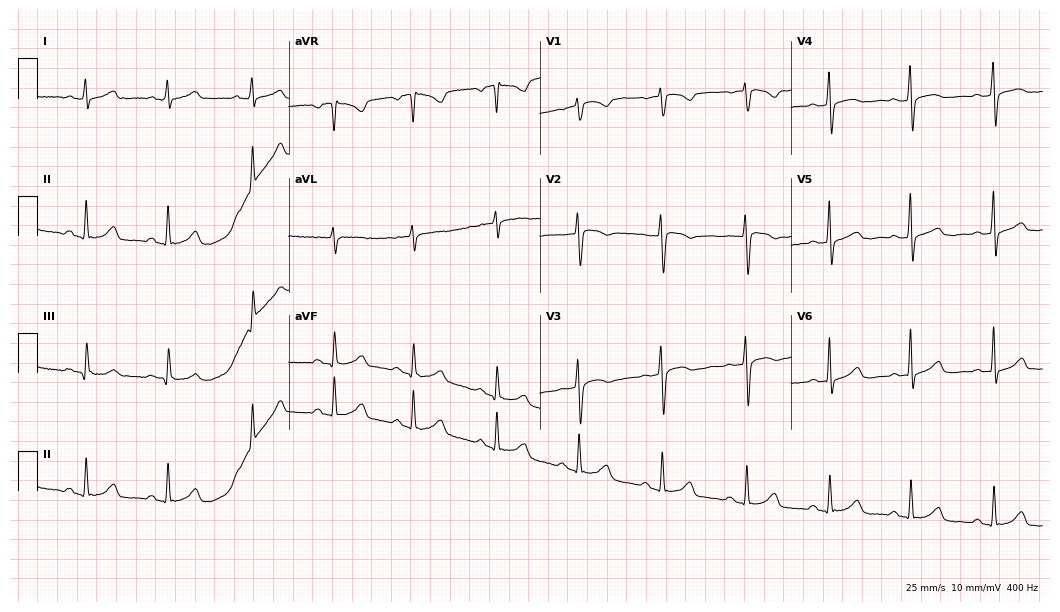
12-lead ECG from a 53-year-old female (10.2-second recording at 400 Hz). Recorded interpretation: within normal limits.